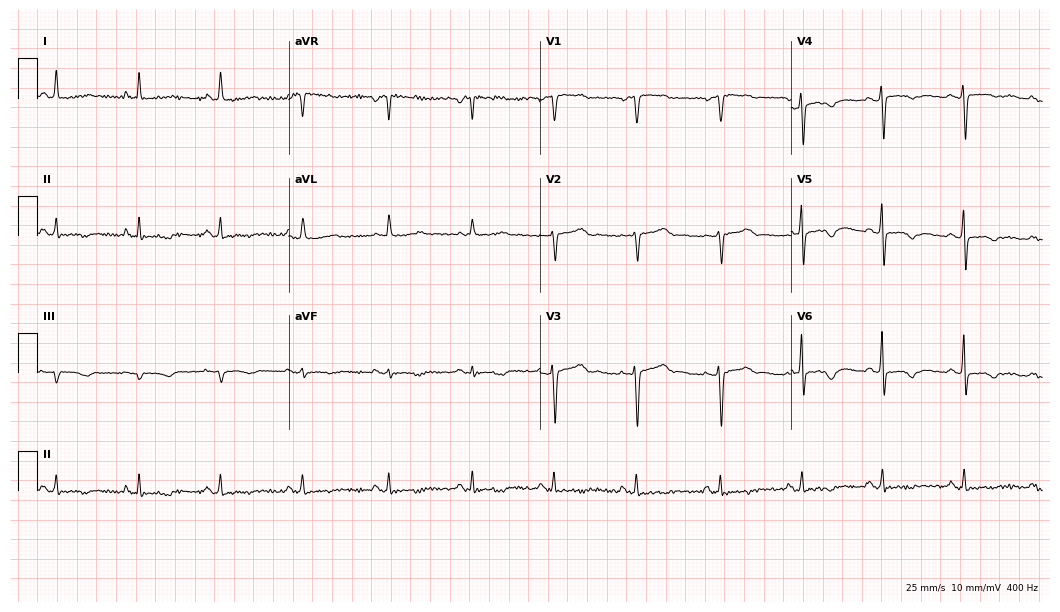
Electrocardiogram (10.2-second recording at 400 Hz), a 56-year-old female. Of the six screened findings (first-degree AV block, right bundle branch block, left bundle branch block, sinus bradycardia, atrial fibrillation, sinus tachycardia), none is recorded.